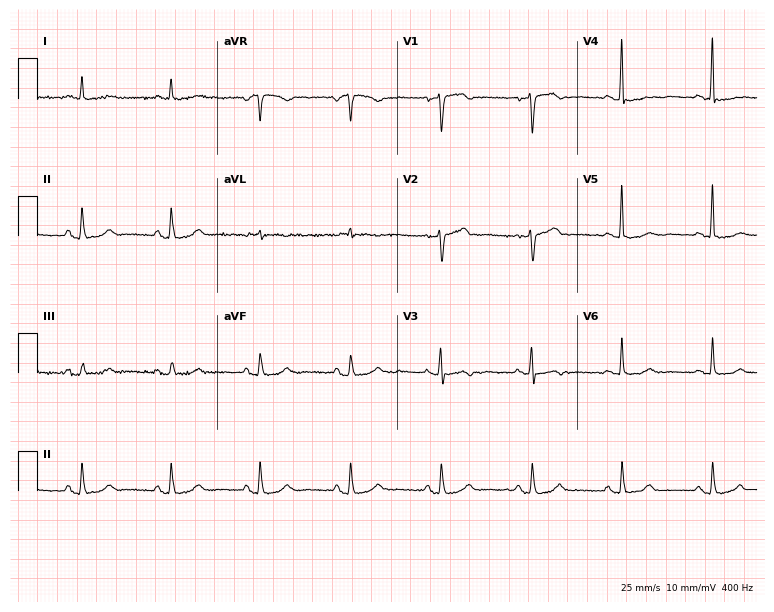
ECG (7.3-second recording at 400 Hz) — a 72-year-old woman. Screened for six findings — first-degree AV block, right bundle branch block, left bundle branch block, sinus bradycardia, atrial fibrillation, sinus tachycardia — none is recorded.